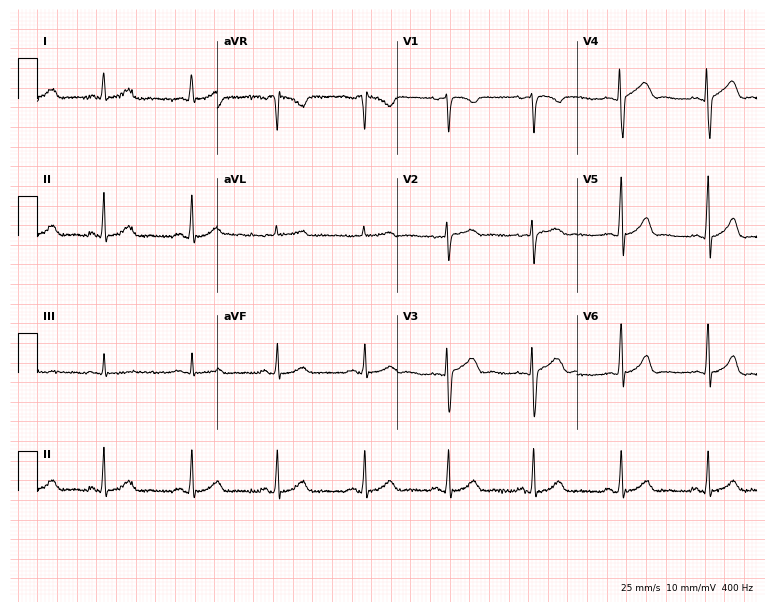
Electrocardiogram (7.3-second recording at 400 Hz), a female patient, 30 years old. Overall reading on record: normal ECG.